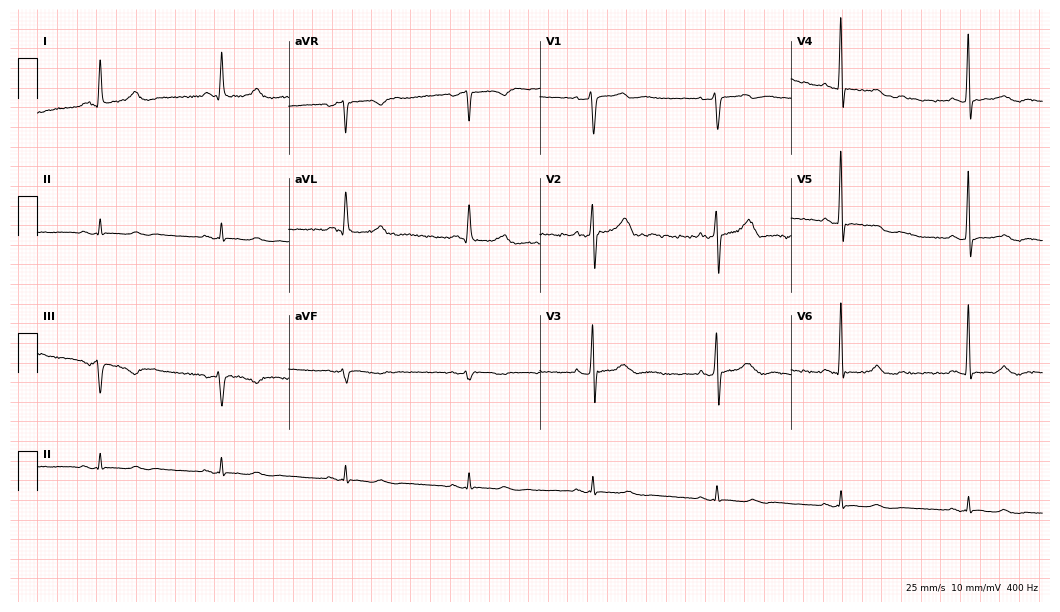
ECG — a man, 57 years old. Screened for six findings — first-degree AV block, right bundle branch block, left bundle branch block, sinus bradycardia, atrial fibrillation, sinus tachycardia — none is recorded.